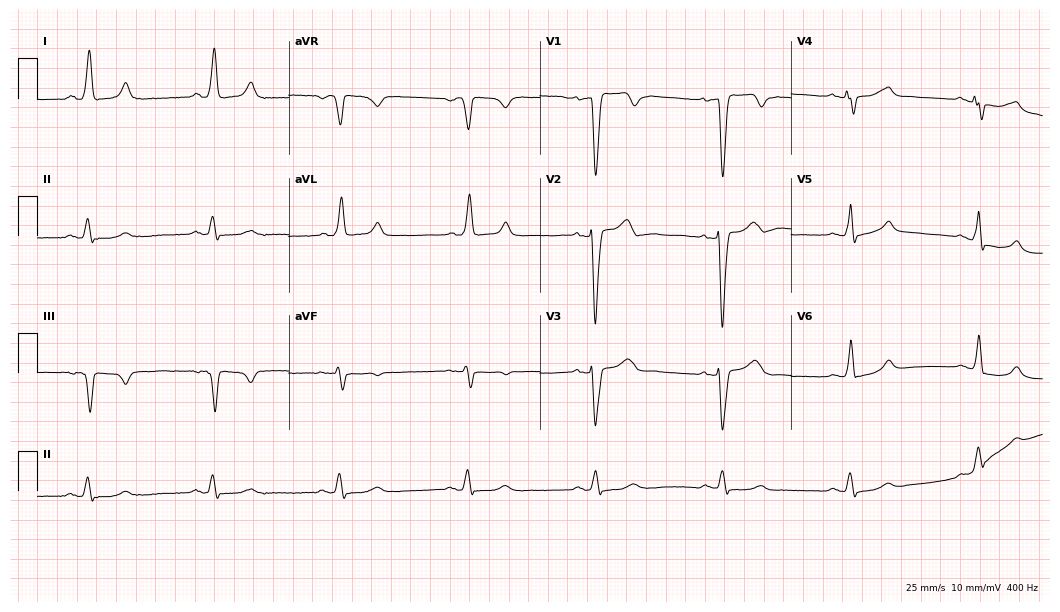
Standard 12-lead ECG recorded from a male, 66 years old (10.2-second recording at 400 Hz). The tracing shows left bundle branch block.